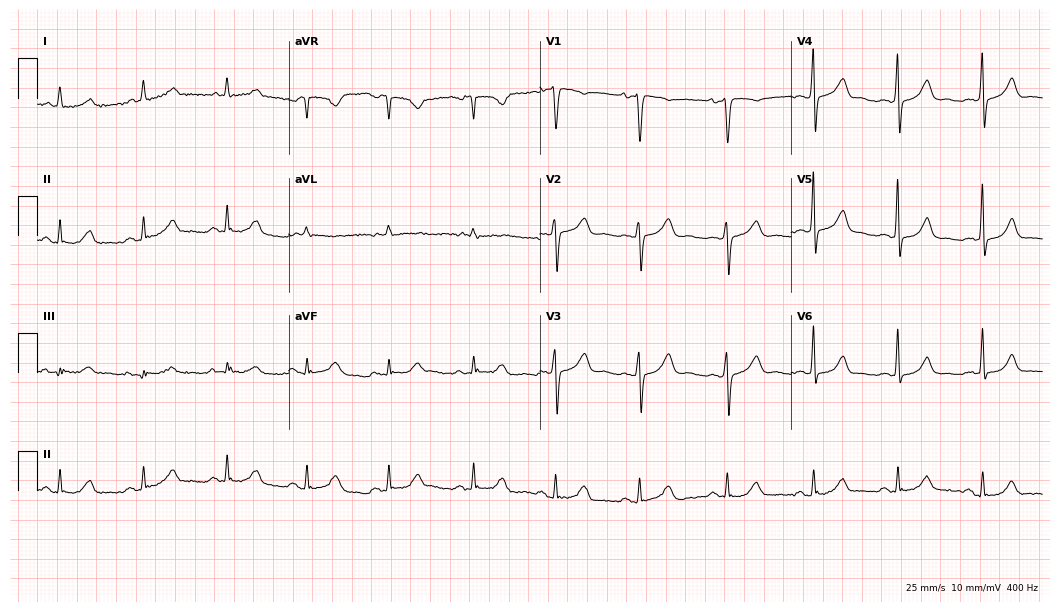
ECG (10.2-second recording at 400 Hz) — a female, 62 years old. Labelled as a normal ECG.